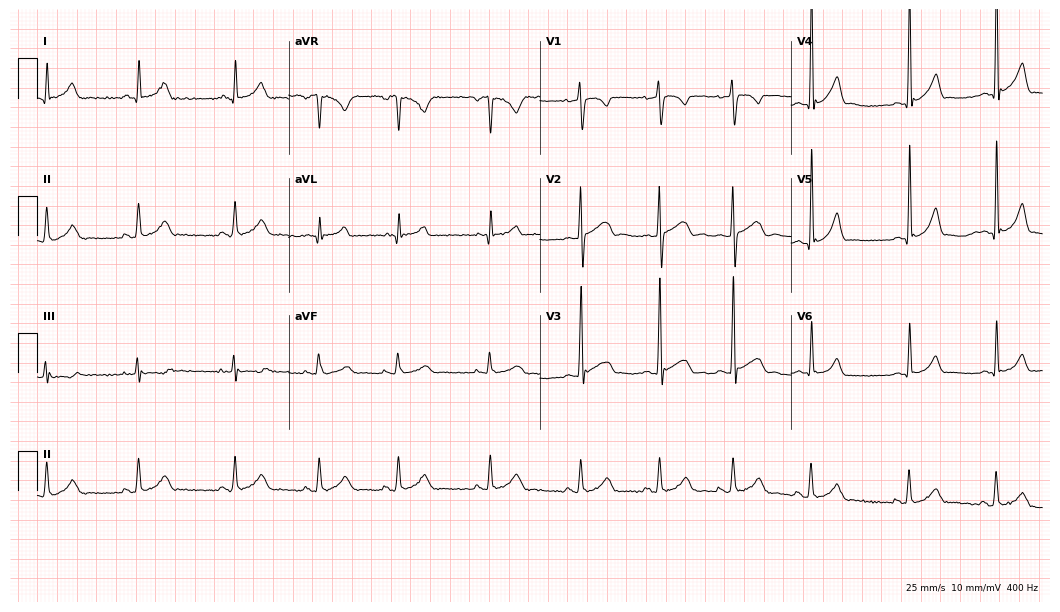
12-lead ECG from a 17-year-old male. Recorded interpretation: within normal limits.